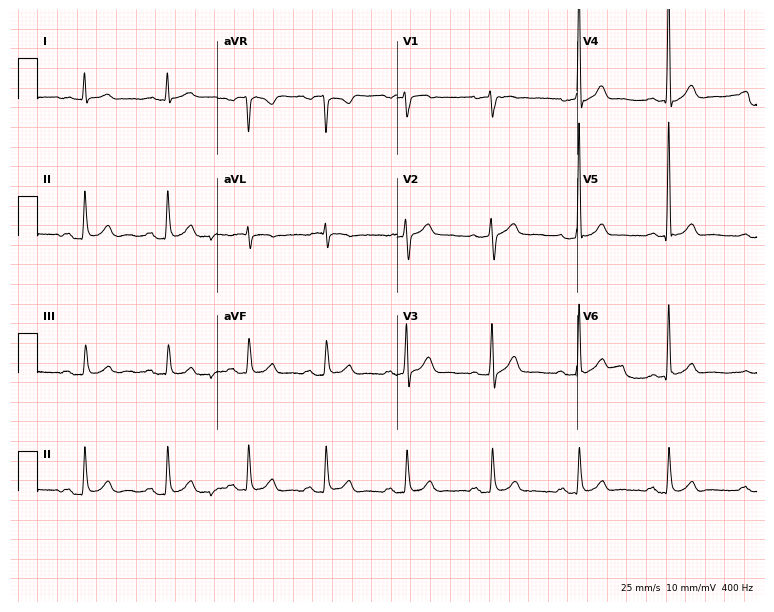
Standard 12-lead ECG recorded from a 40-year-old man (7.3-second recording at 400 Hz). Read as a normal ECG.